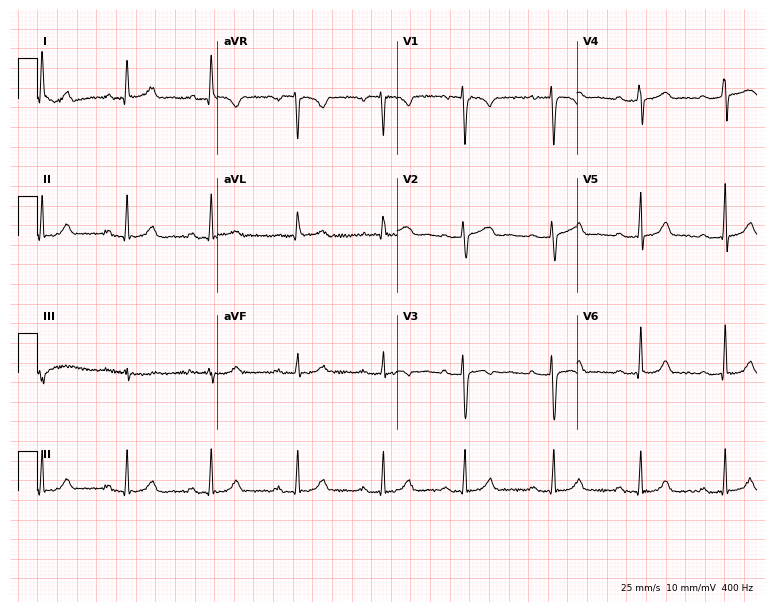
Standard 12-lead ECG recorded from a 36-year-old female patient. Read as a normal ECG.